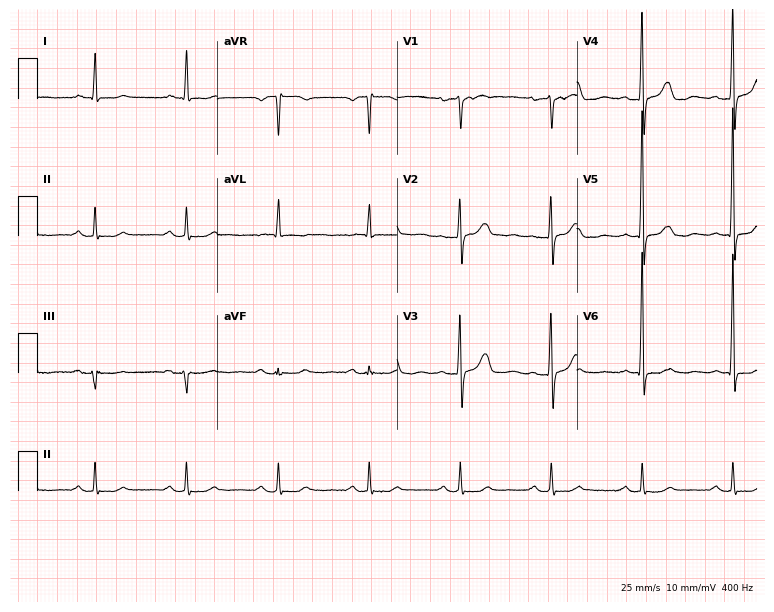
12-lead ECG from a 71-year-old woman. Recorded interpretation: within normal limits.